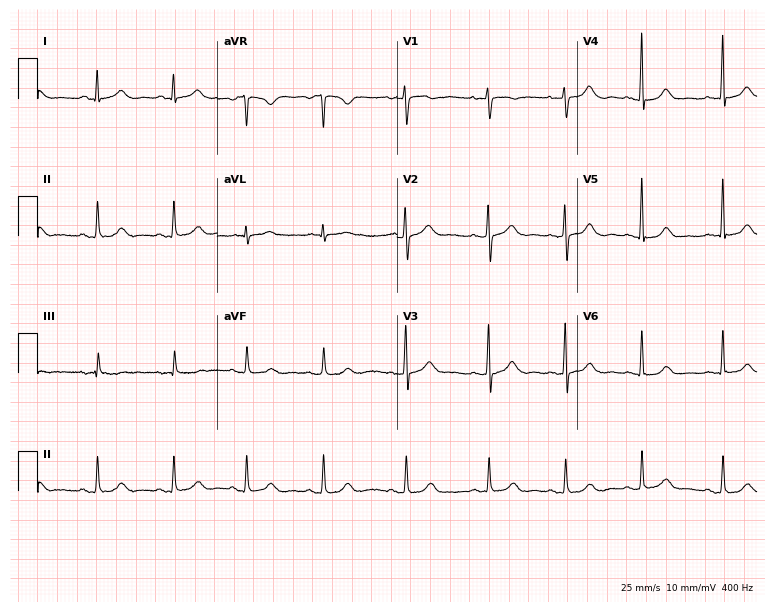
Standard 12-lead ECG recorded from a female, 38 years old. Read as a normal ECG.